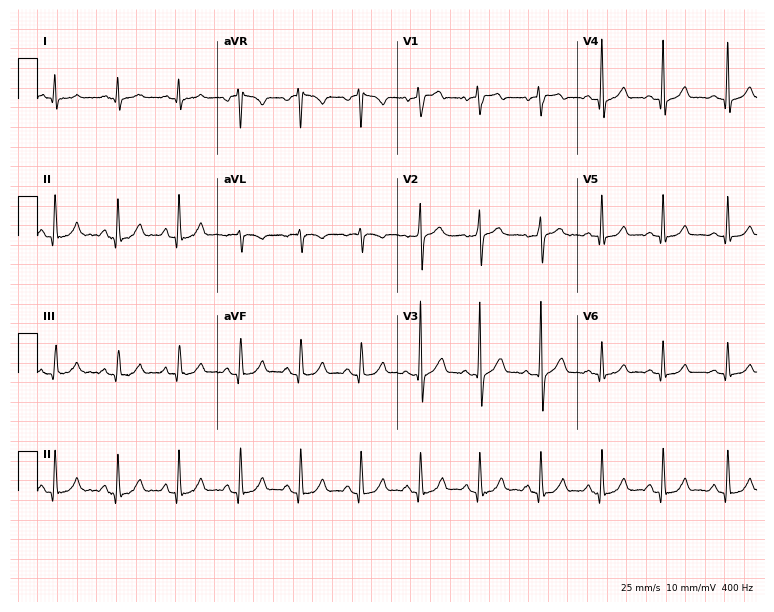
Resting 12-lead electrocardiogram. Patient: a 45-year-old male. Read as a normal ECG.